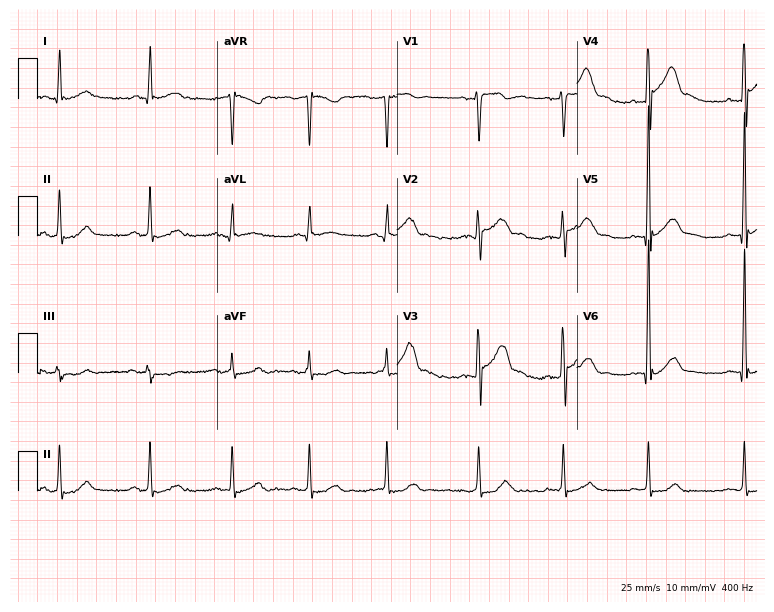
Resting 12-lead electrocardiogram (7.3-second recording at 400 Hz). Patient: a 71-year-old man. None of these six findings is recorded: first-degree AV block, right bundle branch block, left bundle branch block, sinus bradycardia, atrial fibrillation, sinus tachycardia.